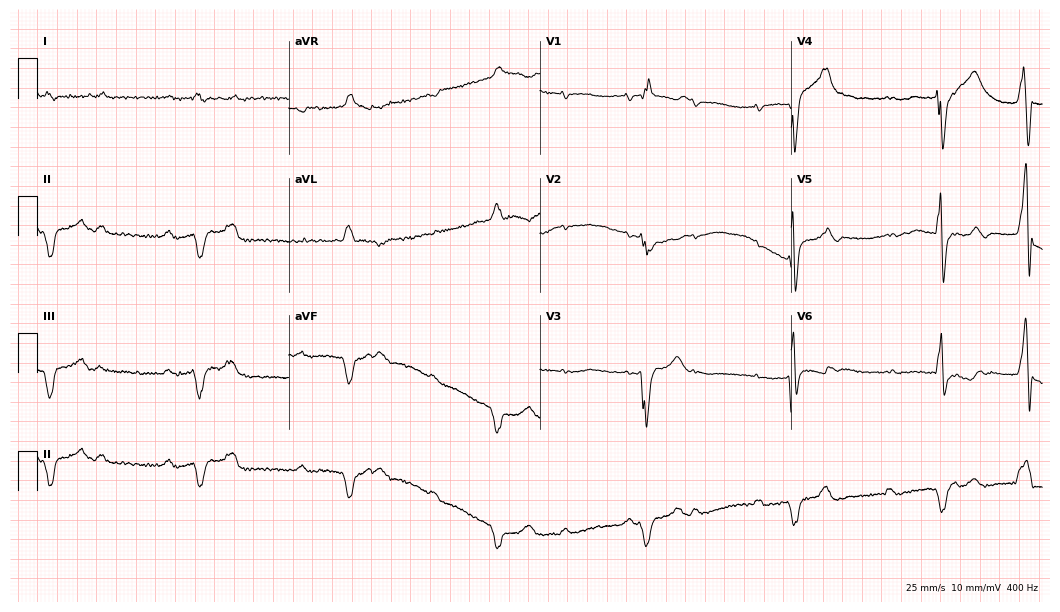
Standard 12-lead ECG recorded from a male patient, 50 years old (10.2-second recording at 400 Hz). None of these six findings is recorded: first-degree AV block, right bundle branch block (RBBB), left bundle branch block (LBBB), sinus bradycardia, atrial fibrillation (AF), sinus tachycardia.